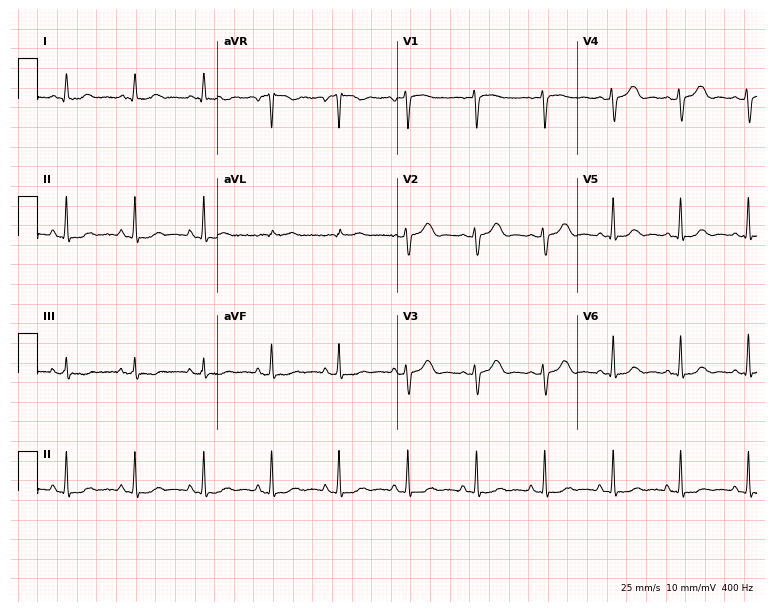
Resting 12-lead electrocardiogram. Patient: a 55-year-old female. None of these six findings is recorded: first-degree AV block, right bundle branch block (RBBB), left bundle branch block (LBBB), sinus bradycardia, atrial fibrillation (AF), sinus tachycardia. Only these six findings were labelled.